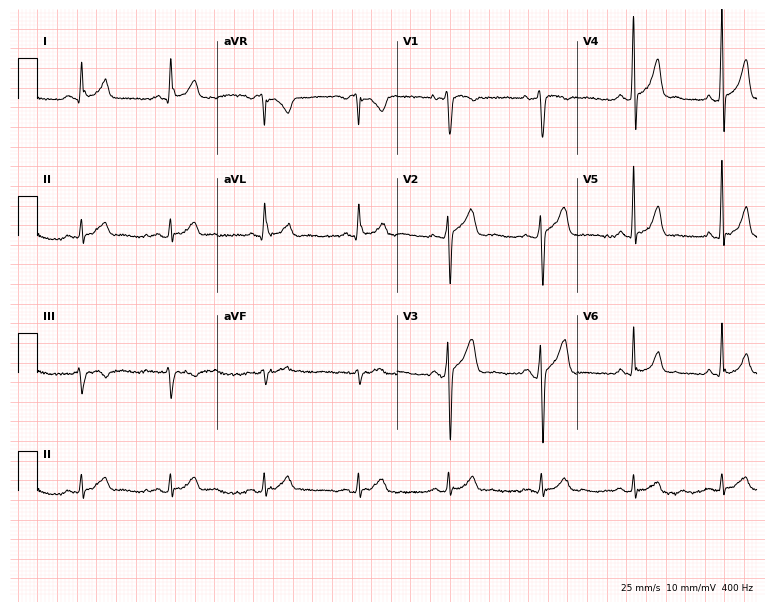
Electrocardiogram (7.3-second recording at 400 Hz), a man, 42 years old. Overall reading on record: normal ECG.